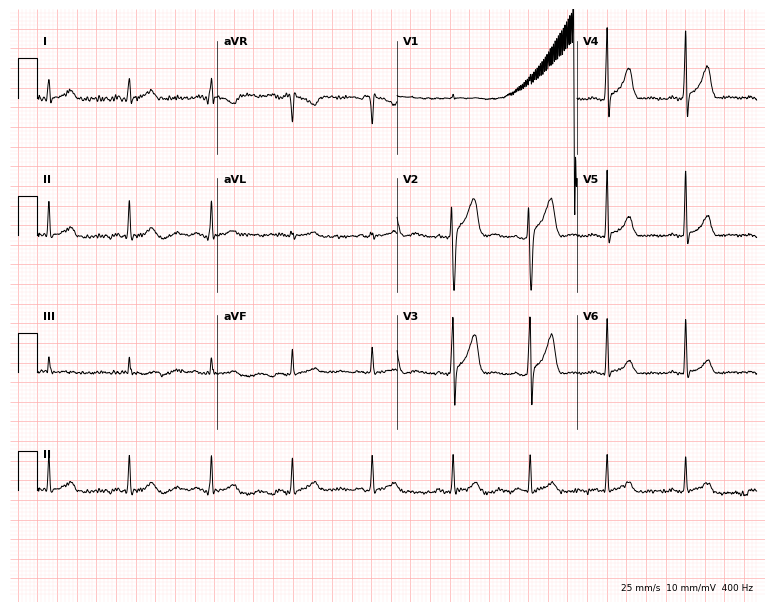
Standard 12-lead ECG recorded from a 31-year-old man (7.3-second recording at 400 Hz). None of these six findings is recorded: first-degree AV block, right bundle branch block (RBBB), left bundle branch block (LBBB), sinus bradycardia, atrial fibrillation (AF), sinus tachycardia. Findings outside these six are not listed.